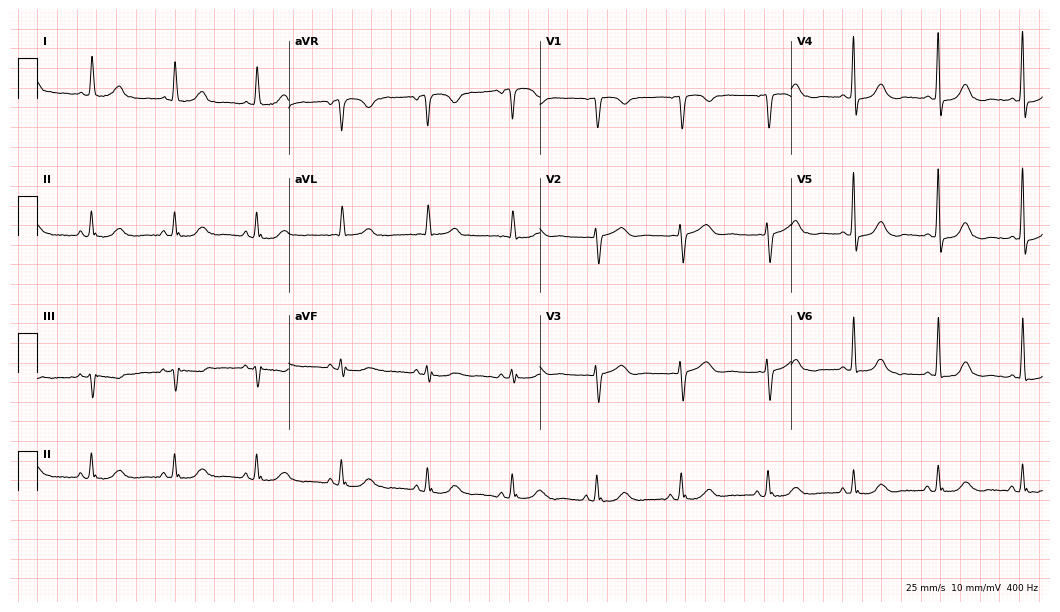
Resting 12-lead electrocardiogram. Patient: a woman, 82 years old. Read as a normal ECG.